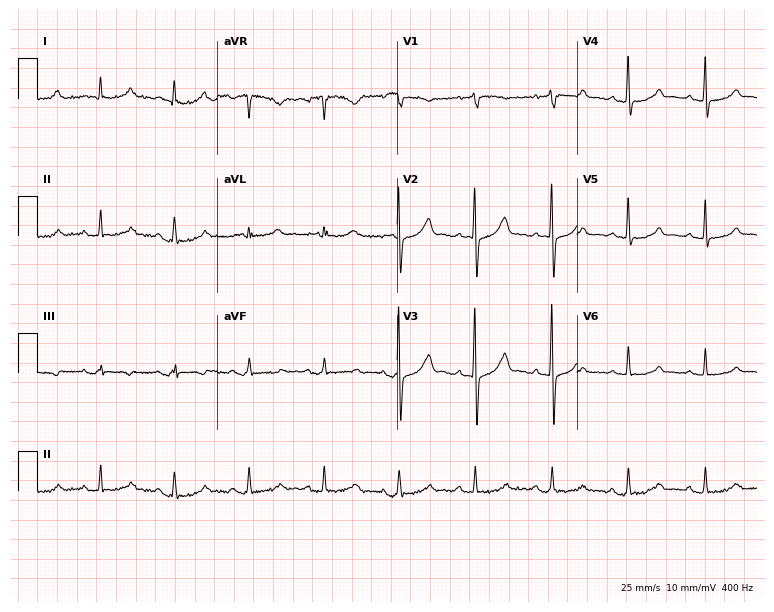
12-lead ECG from a woman, 70 years old. Screened for six findings — first-degree AV block, right bundle branch block, left bundle branch block, sinus bradycardia, atrial fibrillation, sinus tachycardia — none is recorded.